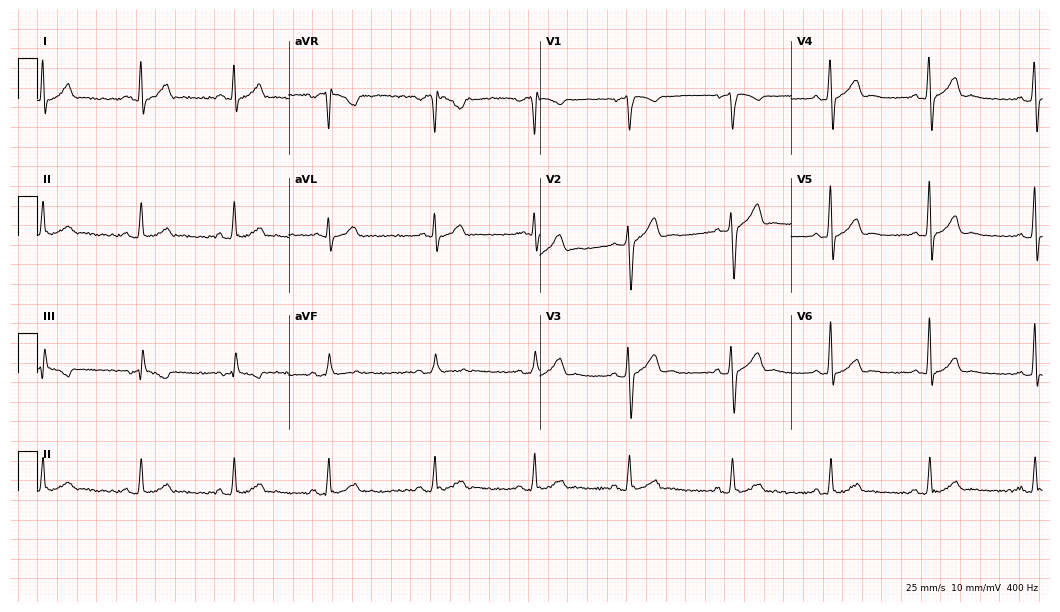
12-lead ECG (10.2-second recording at 400 Hz) from a male, 35 years old. Screened for six findings — first-degree AV block, right bundle branch block, left bundle branch block, sinus bradycardia, atrial fibrillation, sinus tachycardia — none is recorded.